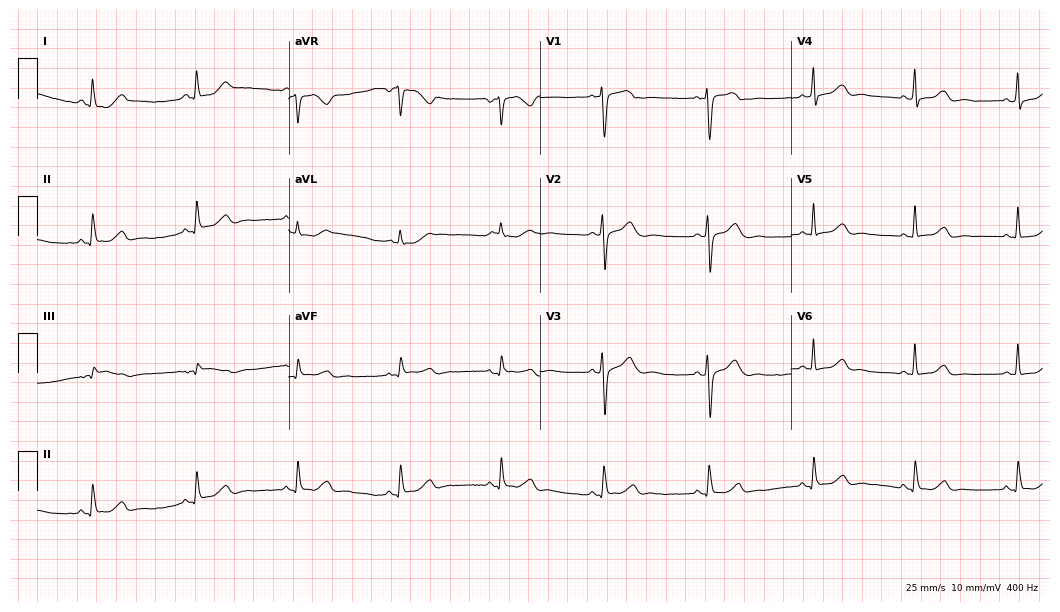
Electrocardiogram, a 40-year-old female patient. Overall reading on record: normal ECG.